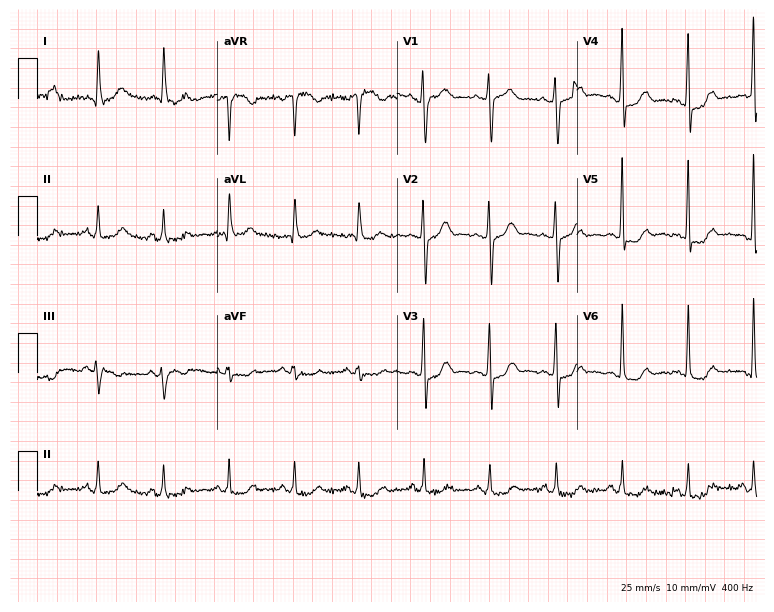
Resting 12-lead electrocardiogram (7.3-second recording at 400 Hz). Patient: a 67-year-old female. None of these six findings is recorded: first-degree AV block, right bundle branch block, left bundle branch block, sinus bradycardia, atrial fibrillation, sinus tachycardia. Findings outside these six are not listed.